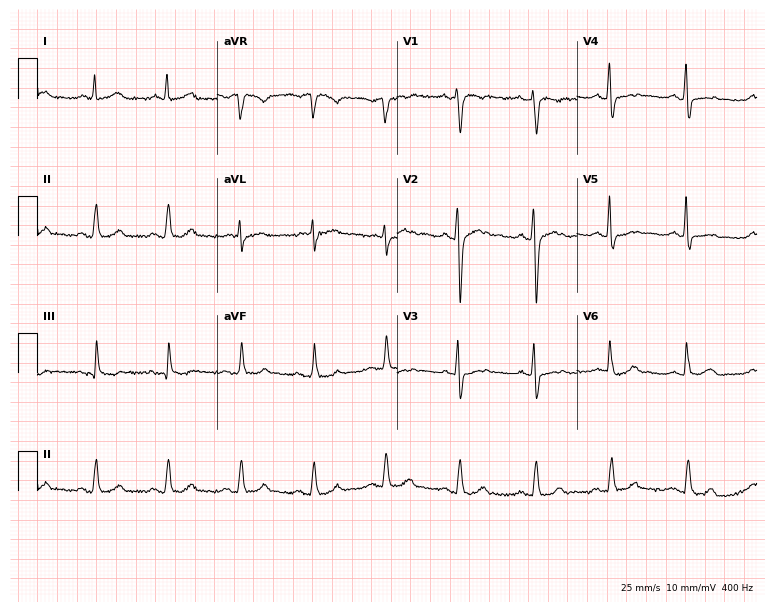
12-lead ECG (7.3-second recording at 400 Hz) from a male patient, 58 years old. Screened for six findings — first-degree AV block, right bundle branch block, left bundle branch block, sinus bradycardia, atrial fibrillation, sinus tachycardia — none is recorded. Other findings, if any, are not listed.